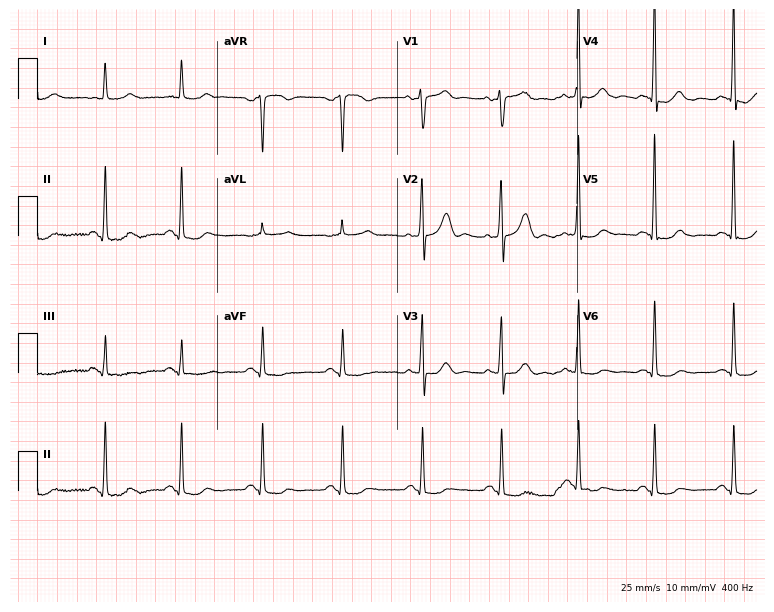
ECG — a female patient, 77 years old. Screened for six findings — first-degree AV block, right bundle branch block (RBBB), left bundle branch block (LBBB), sinus bradycardia, atrial fibrillation (AF), sinus tachycardia — none is recorded.